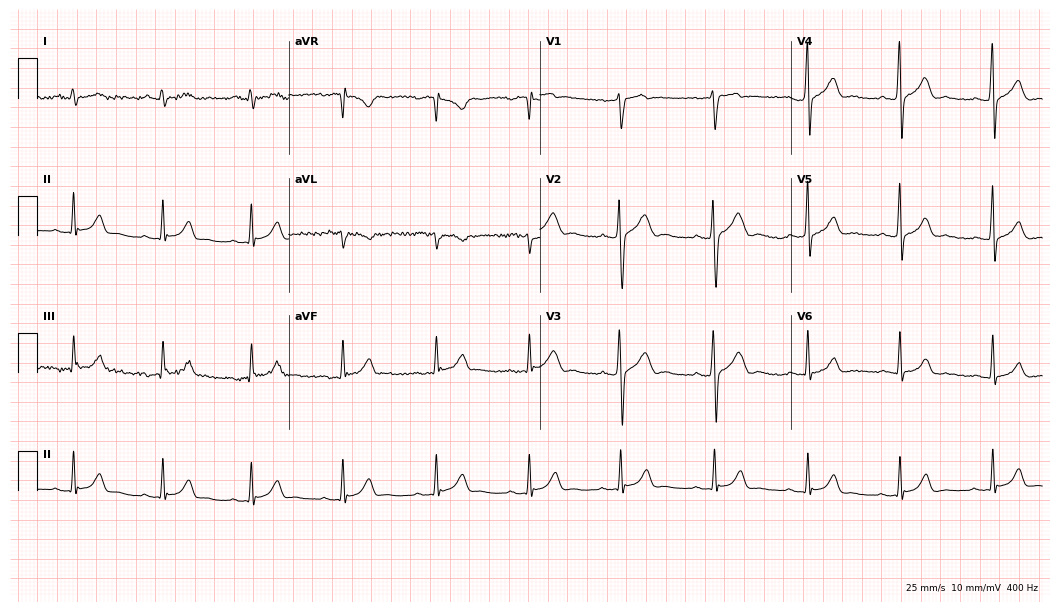
12-lead ECG (10.2-second recording at 400 Hz) from a 26-year-old man. Labelled as a normal ECG.